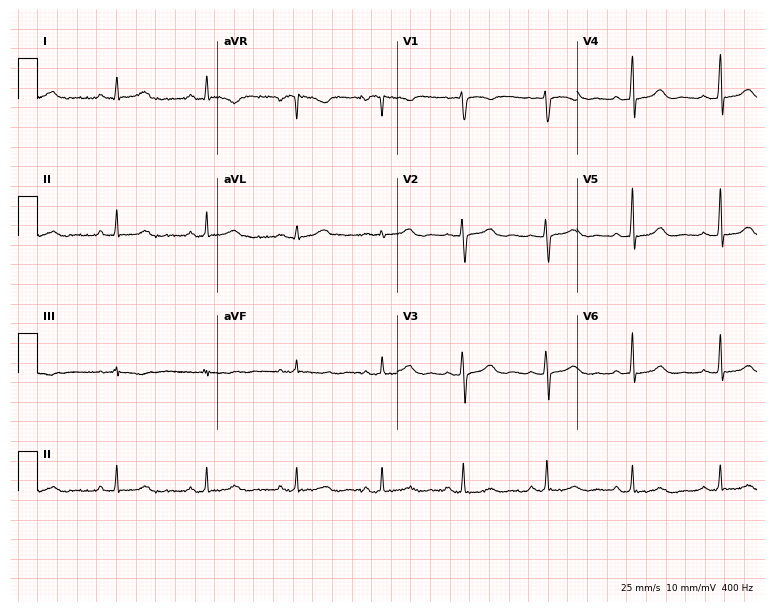
Electrocardiogram (7.3-second recording at 400 Hz), a 30-year-old female. Of the six screened findings (first-degree AV block, right bundle branch block (RBBB), left bundle branch block (LBBB), sinus bradycardia, atrial fibrillation (AF), sinus tachycardia), none is recorded. Only these six findings were labelled.